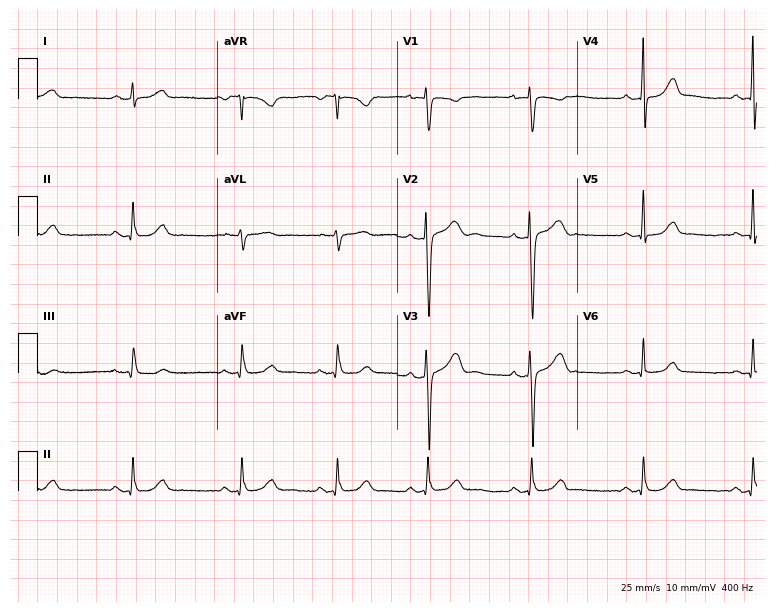
Standard 12-lead ECG recorded from a female patient, 34 years old. Read as a normal ECG.